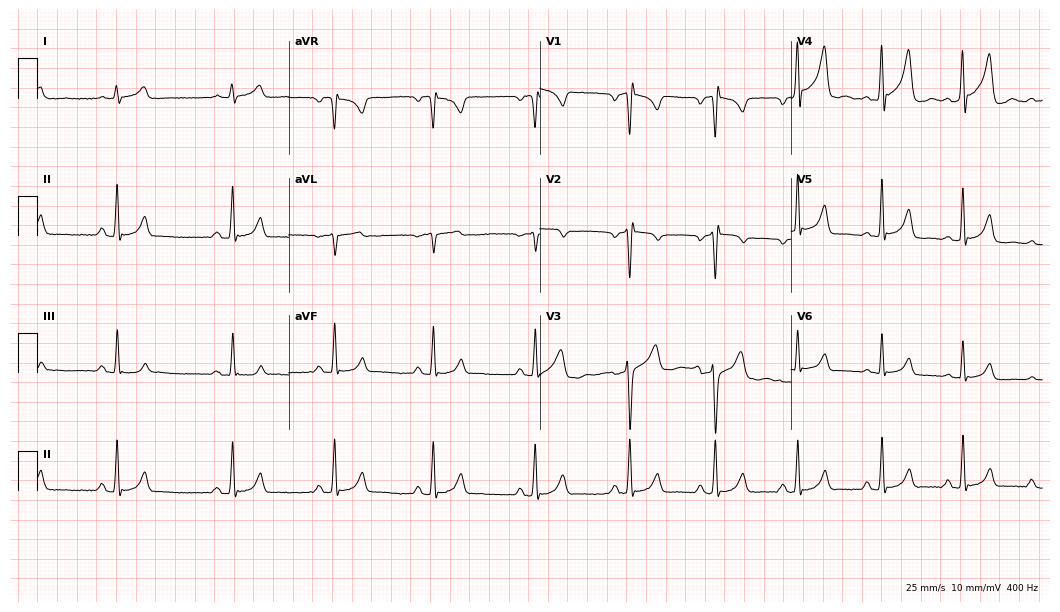
12-lead ECG (10.2-second recording at 400 Hz) from a male patient, 35 years old. Screened for six findings — first-degree AV block, right bundle branch block, left bundle branch block, sinus bradycardia, atrial fibrillation, sinus tachycardia — none is recorded. Other findings, if any, are not listed.